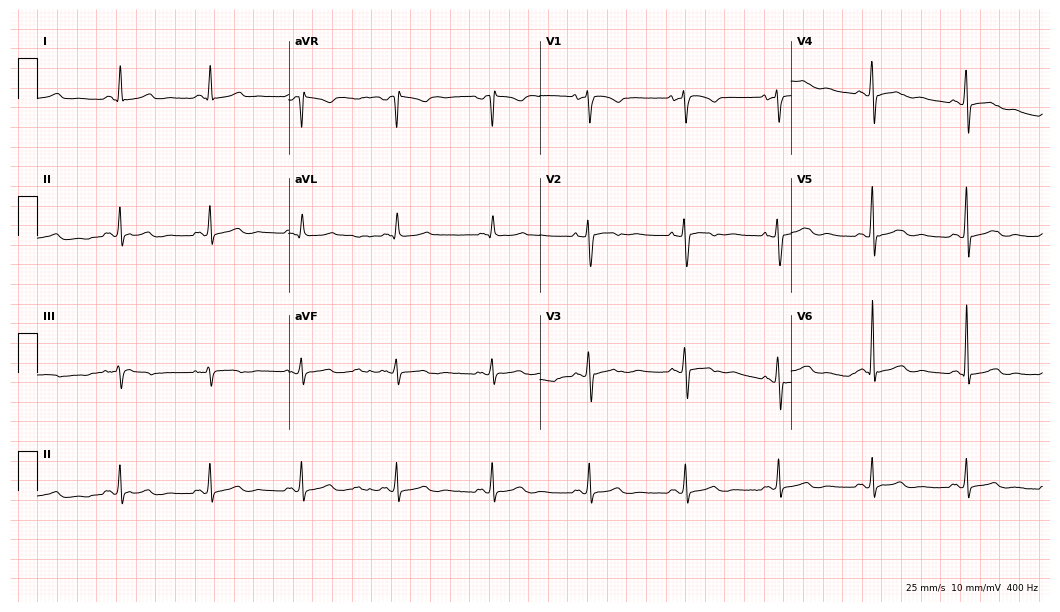
ECG (10.2-second recording at 400 Hz) — a 64-year-old woman. Screened for six findings — first-degree AV block, right bundle branch block, left bundle branch block, sinus bradycardia, atrial fibrillation, sinus tachycardia — none is recorded. Other findings, if any, are not listed.